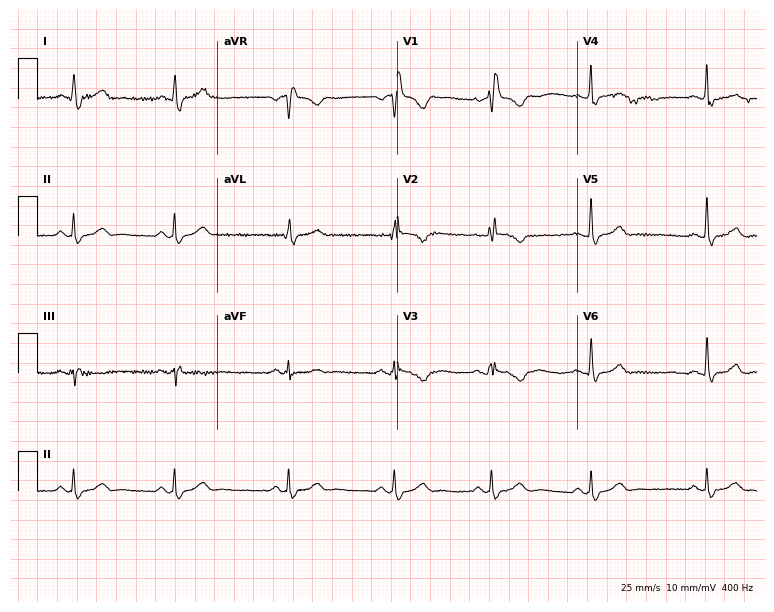
Electrocardiogram (7.3-second recording at 400 Hz), a woman, 46 years old. Interpretation includes right bundle branch block.